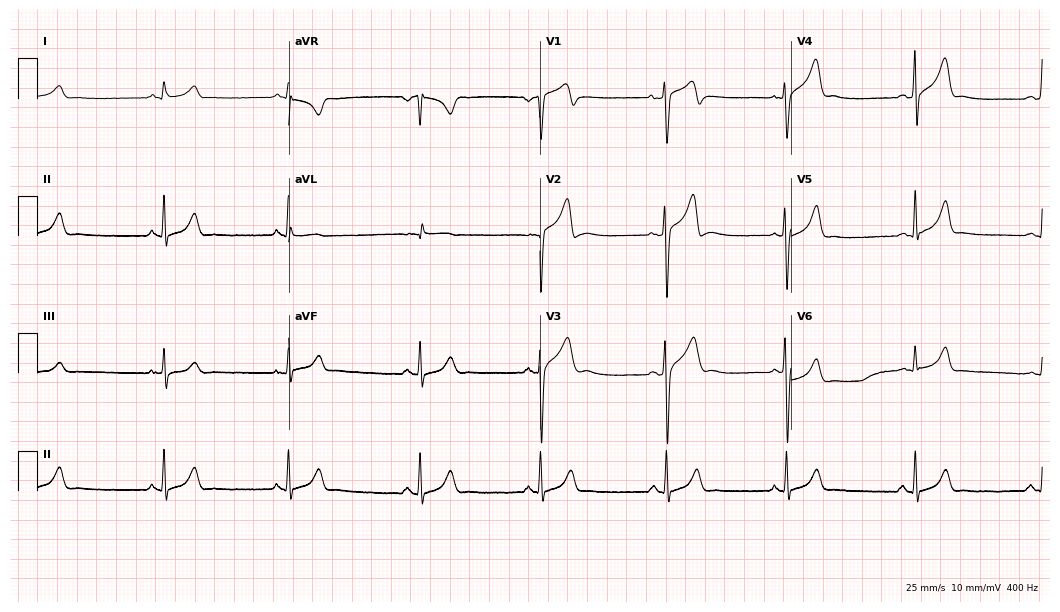
12-lead ECG (10.2-second recording at 400 Hz) from a man, 30 years old. Findings include sinus bradycardia (a sinus rate of 50 beats per minute or less).